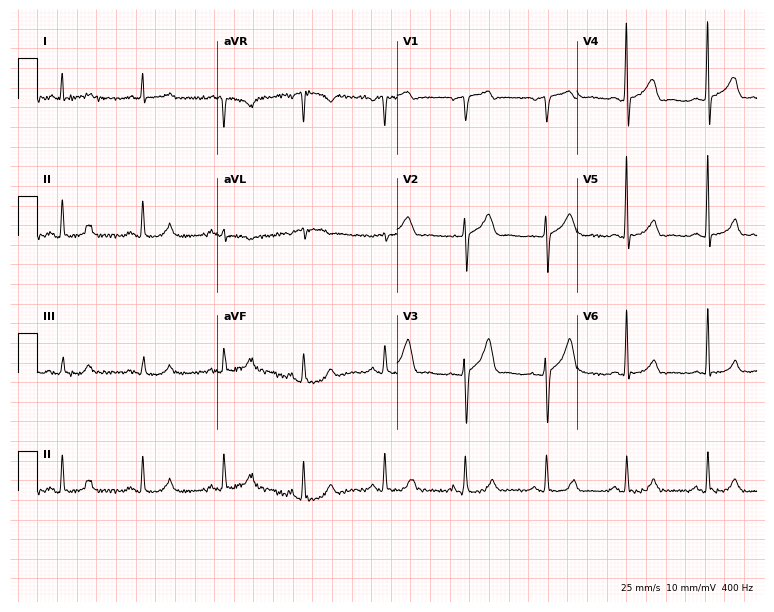
Resting 12-lead electrocardiogram. Patient: a 66-year-old man. Read as a normal ECG.